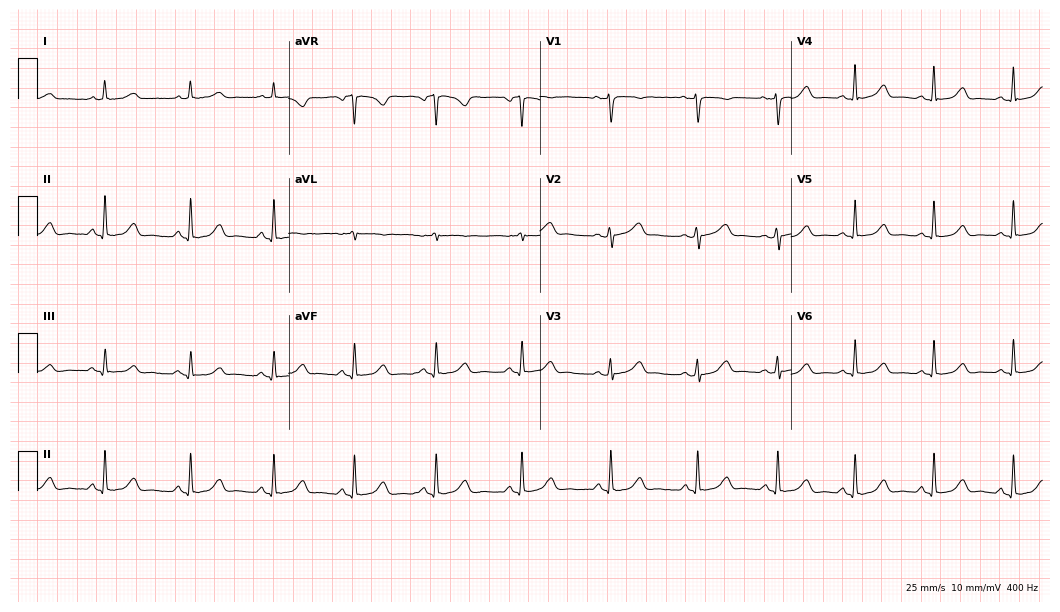
12-lead ECG (10.2-second recording at 400 Hz) from a female, 42 years old. Labelled as a normal ECG.